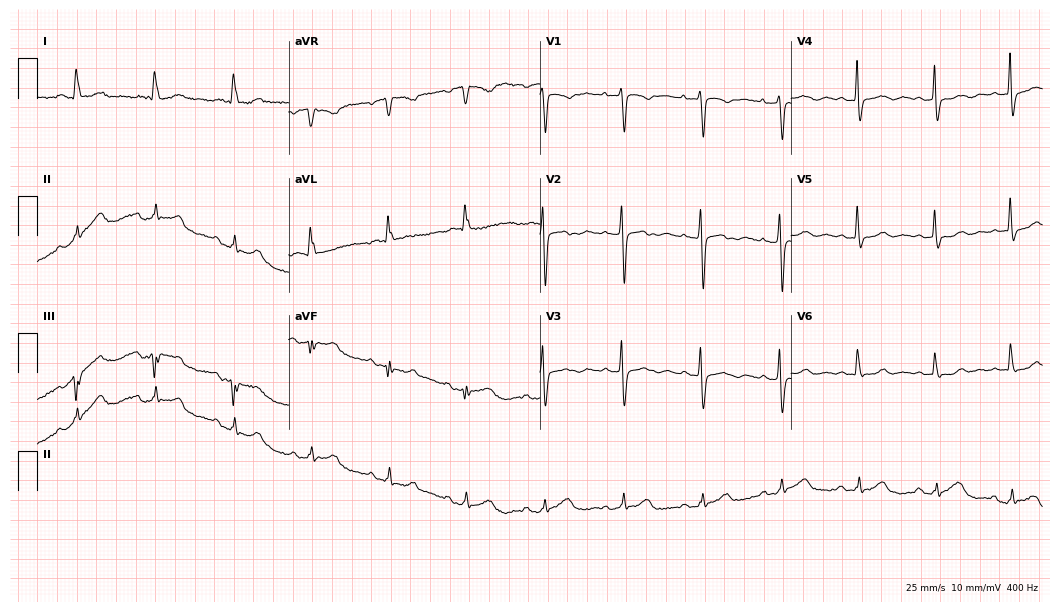
Standard 12-lead ECG recorded from an 80-year-old woman (10.2-second recording at 400 Hz). Read as a normal ECG.